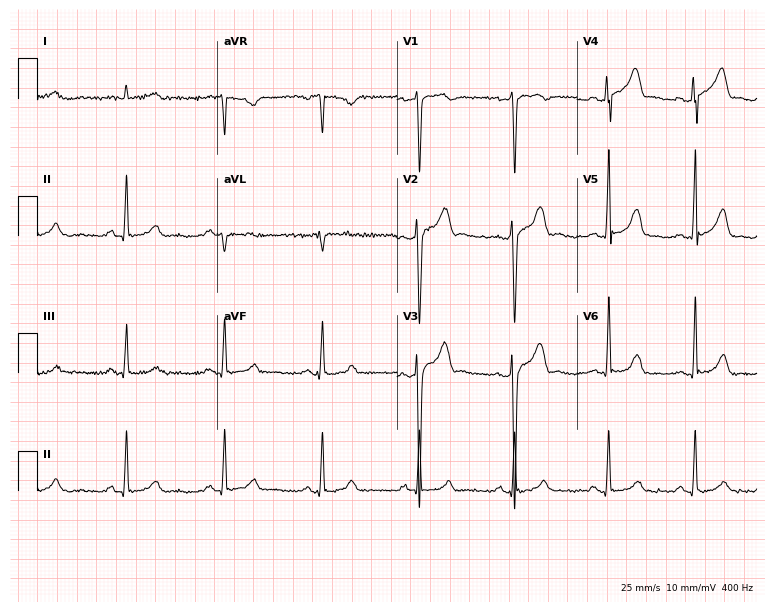
12-lead ECG (7.3-second recording at 400 Hz) from a male, 42 years old. Labelled as a normal ECG.